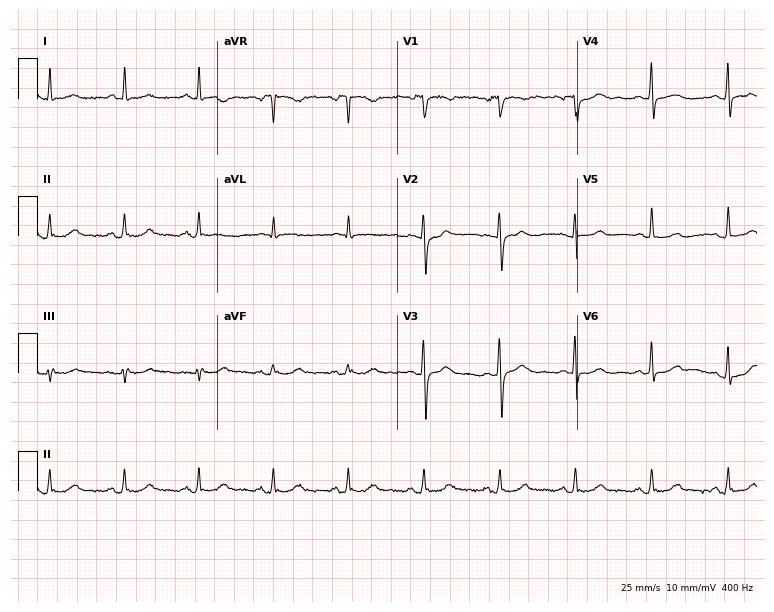
ECG — a 51-year-old female. Labelled as a normal ECG.